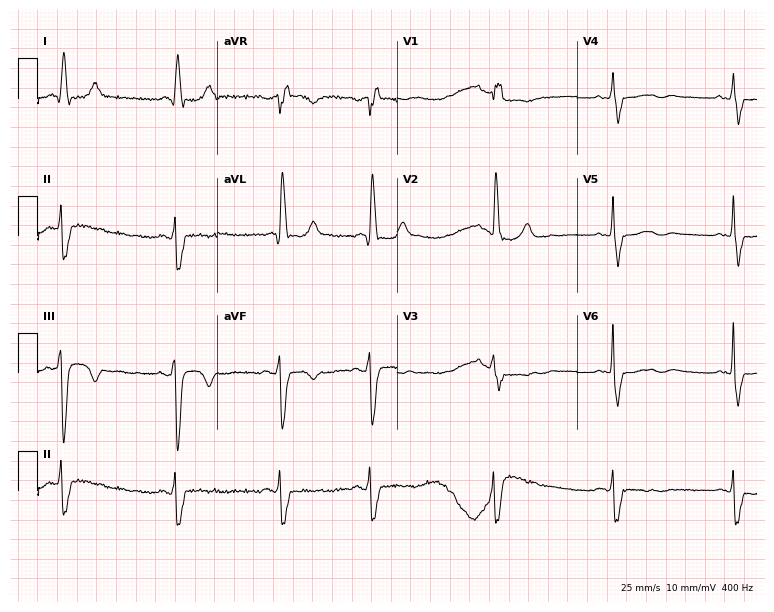
ECG — a female, 76 years old. Findings include right bundle branch block.